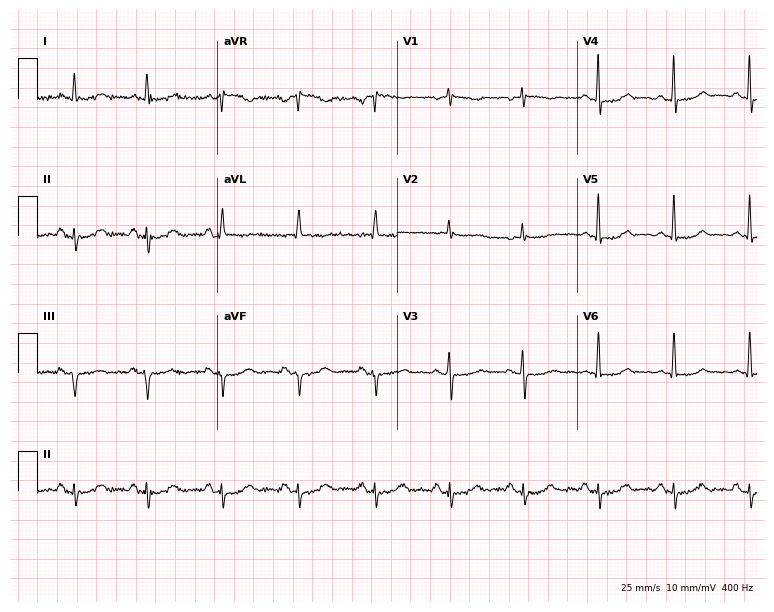
12-lead ECG (7.3-second recording at 400 Hz) from a female, 64 years old. Screened for six findings — first-degree AV block, right bundle branch block, left bundle branch block, sinus bradycardia, atrial fibrillation, sinus tachycardia — none is recorded.